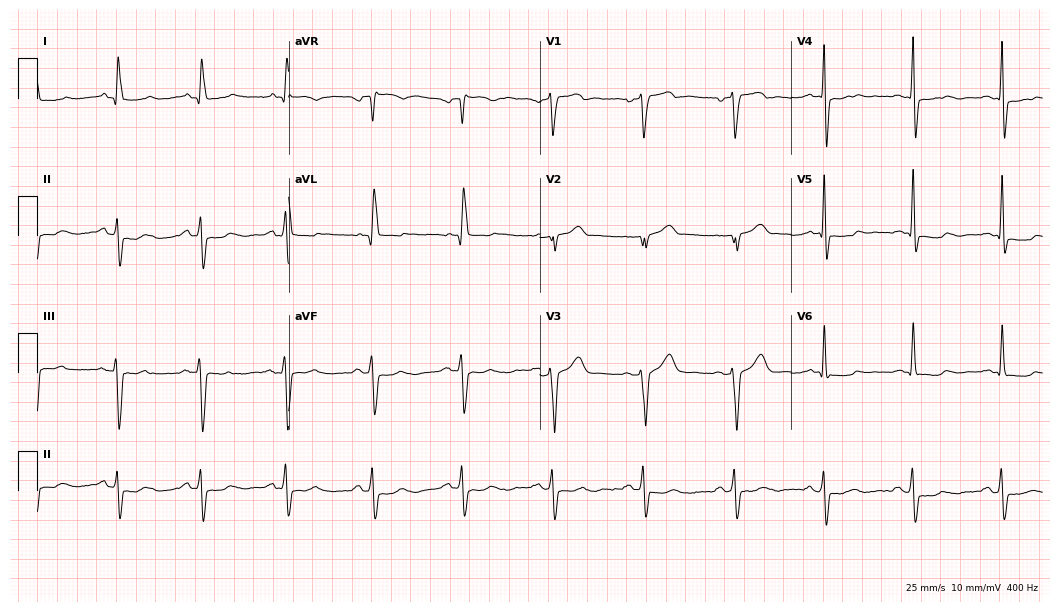
Resting 12-lead electrocardiogram (10.2-second recording at 400 Hz). Patient: a male, 60 years old. None of these six findings is recorded: first-degree AV block, right bundle branch block, left bundle branch block, sinus bradycardia, atrial fibrillation, sinus tachycardia.